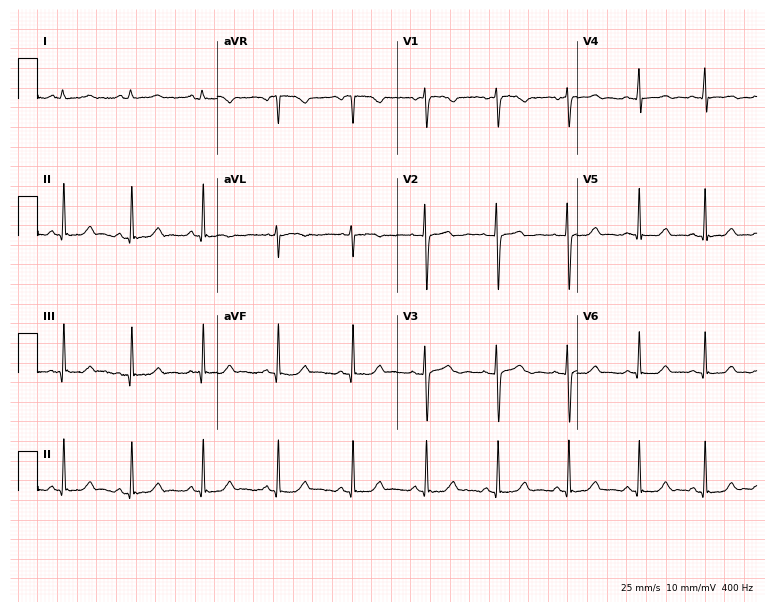
ECG — a female, 17 years old. Screened for six findings — first-degree AV block, right bundle branch block, left bundle branch block, sinus bradycardia, atrial fibrillation, sinus tachycardia — none is recorded. Findings outside these six are not listed.